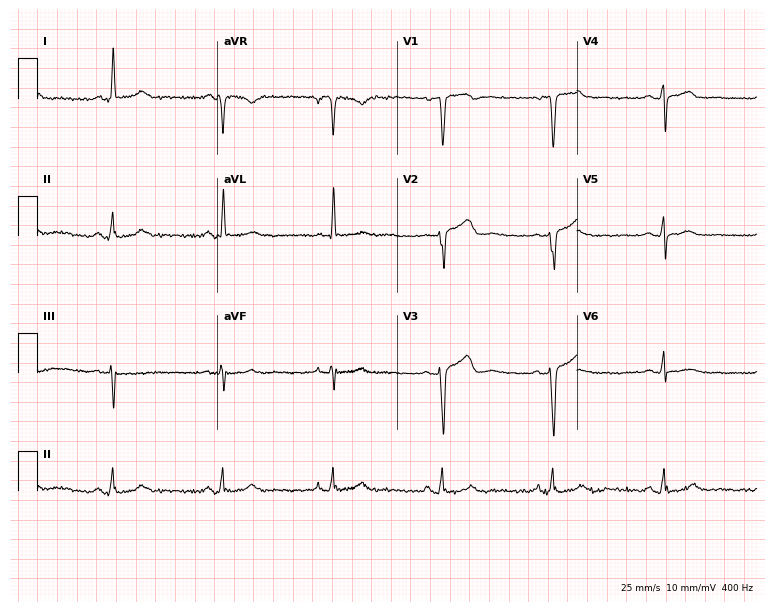
Standard 12-lead ECG recorded from a woman, 50 years old. Read as a normal ECG.